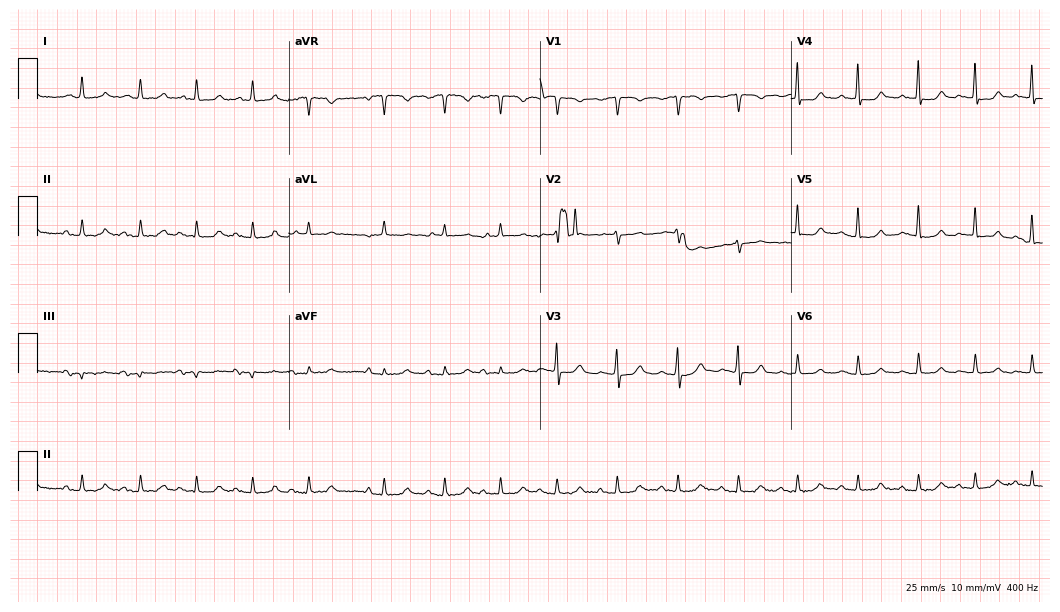
Resting 12-lead electrocardiogram. Patient: a 70-year-old woman. None of these six findings is recorded: first-degree AV block, right bundle branch block (RBBB), left bundle branch block (LBBB), sinus bradycardia, atrial fibrillation (AF), sinus tachycardia.